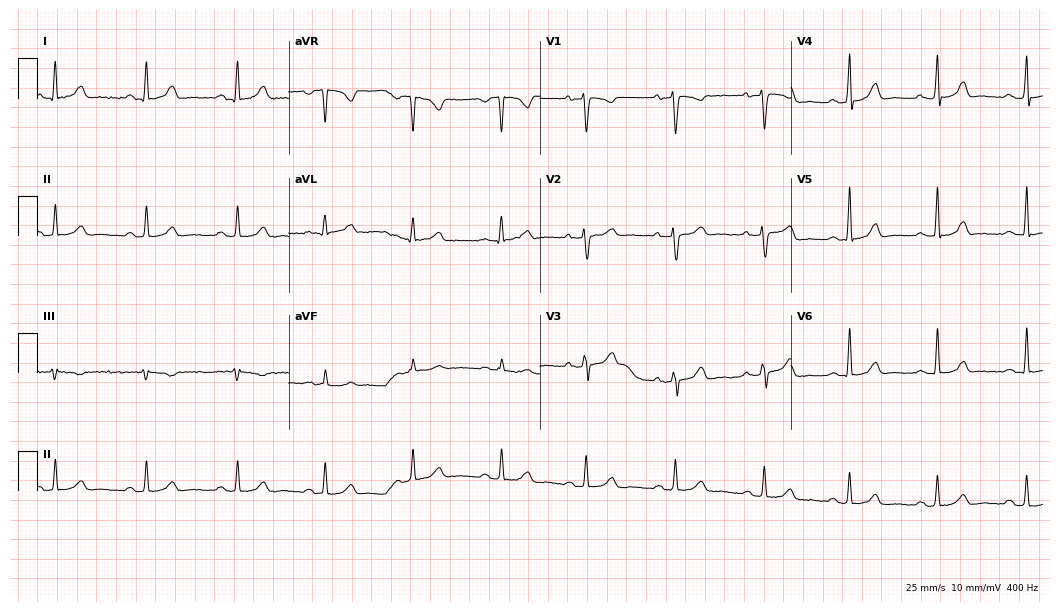
12-lead ECG (10.2-second recording at 400 Hz) from a 37-year-old female. Labelled as a normal ECG.